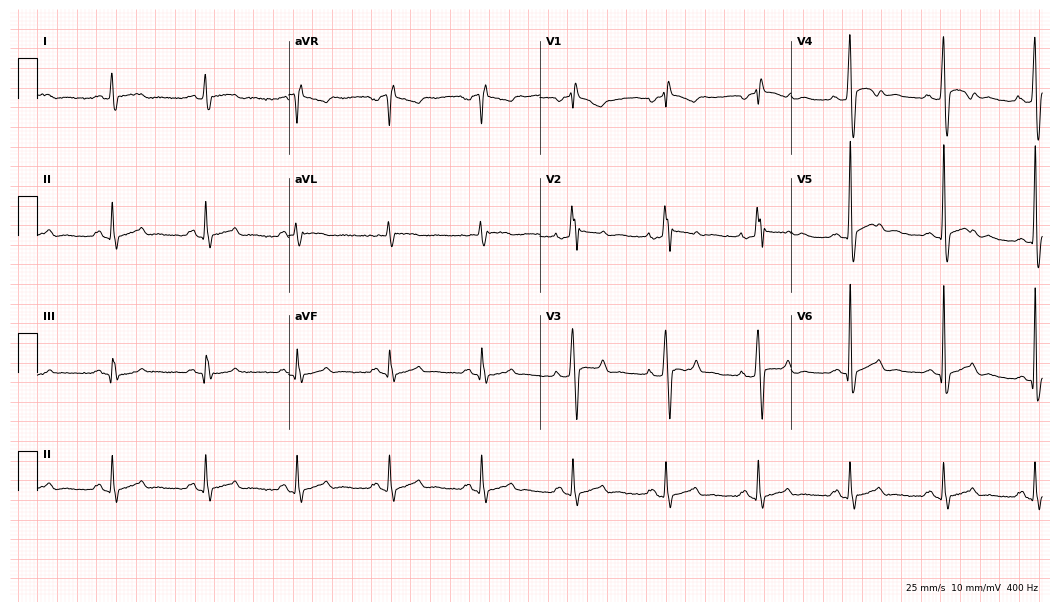
ECG — a 46-year-old man. Screened for six findings — first-degree AV block, right bundle branch block (RBBB), left bundle branch block (LBBB), sinus bradycardia, atrial fibrillation (AF), sinus tachycardia — none is recorded.